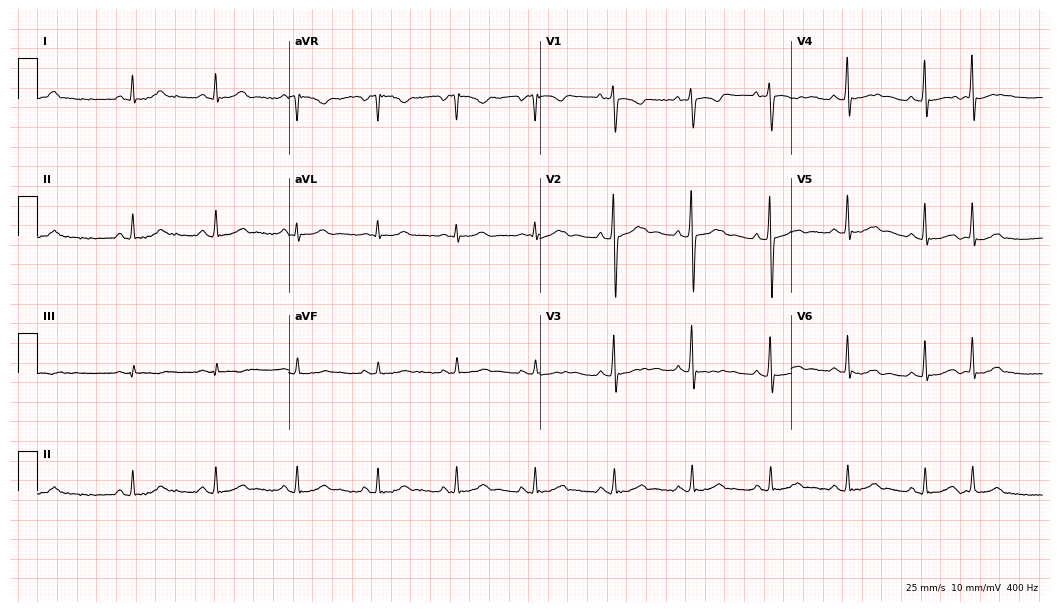
12-lead ECG (10.2-second recording at 400 Hz) from an 81-year-old male patient. Screened for six findings — first-degree AV block, right bundle branch block, left bundle branch block, sinus bradycardia, atrial fibrillation, sinus tachycardia — none is recorded. Findings outside these six are not listed.